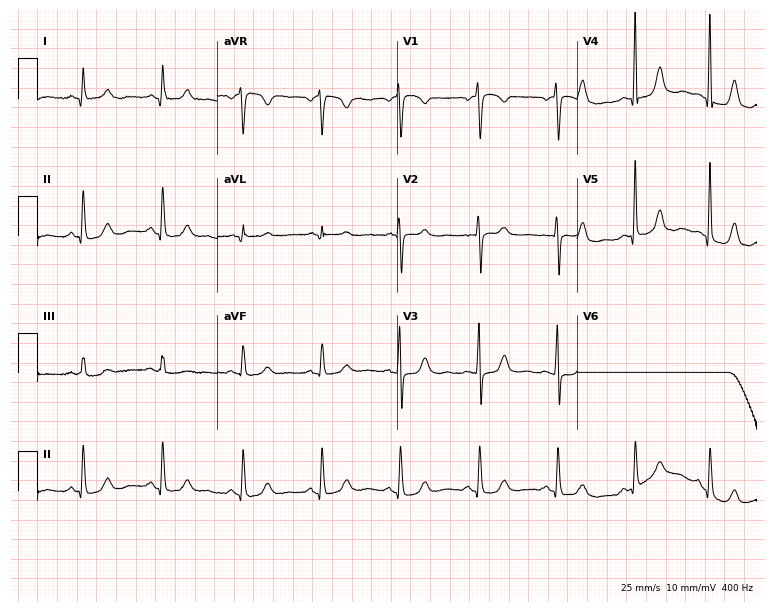
12-lead ECG from a female, 67 years old. Labelled as a normal ECG.